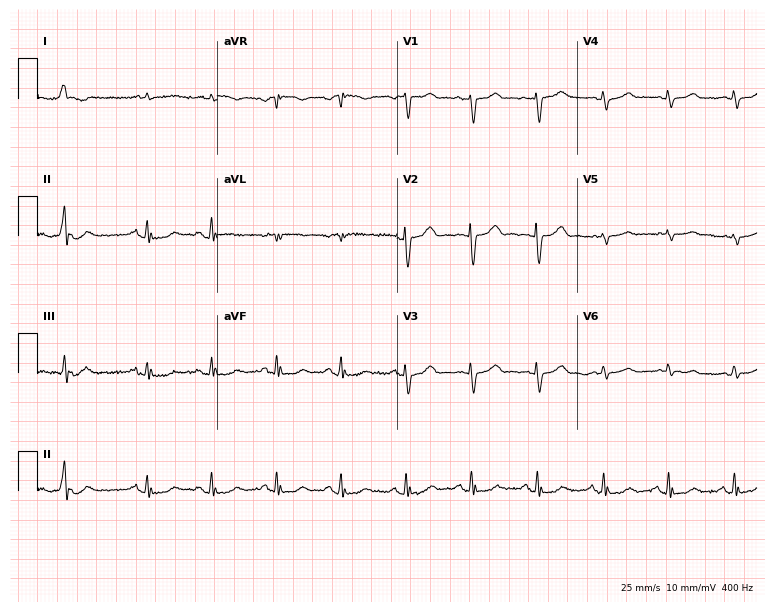
Standard 12-lead ECG recorded from a male, 81 years old (7.3-second recording at 400 Hz). None of these six findings is recorded: first-degree AV block, right bundle branch block, left bundle branch block, sinus bradycardia, atrial fibrillation, sinus tachycardia.